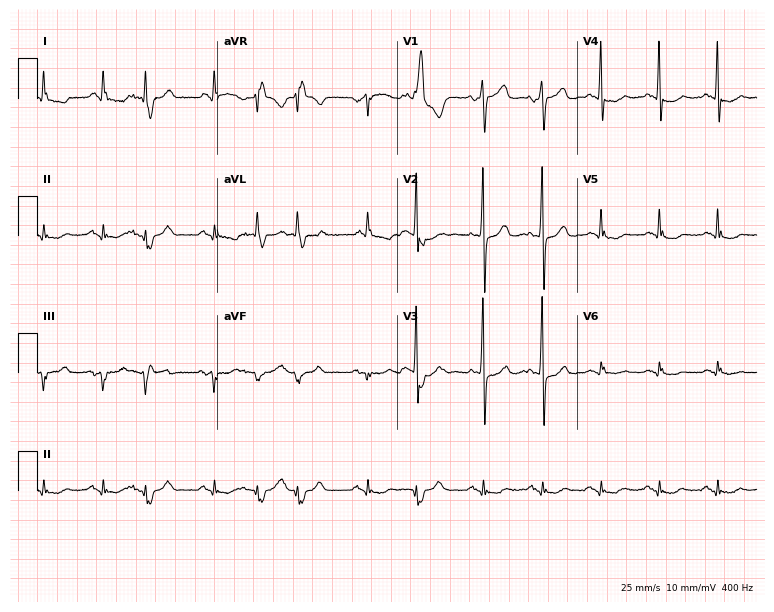
ECG — a male patient, 75 years old. Findings include sinus tachycardia (a sinus rate of 100 beats per minute or more).